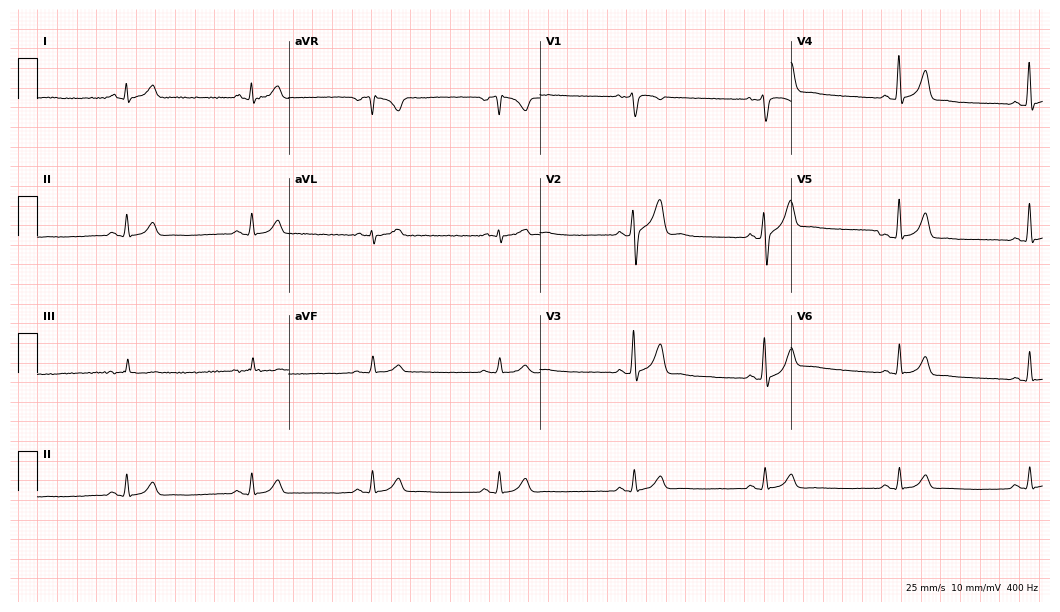
Resting 12-lead electrocardiogram. Patient: a 34-year-old man. The tracing shows sinus bradycardia (a sinus rate of 50 beats per minute or less).